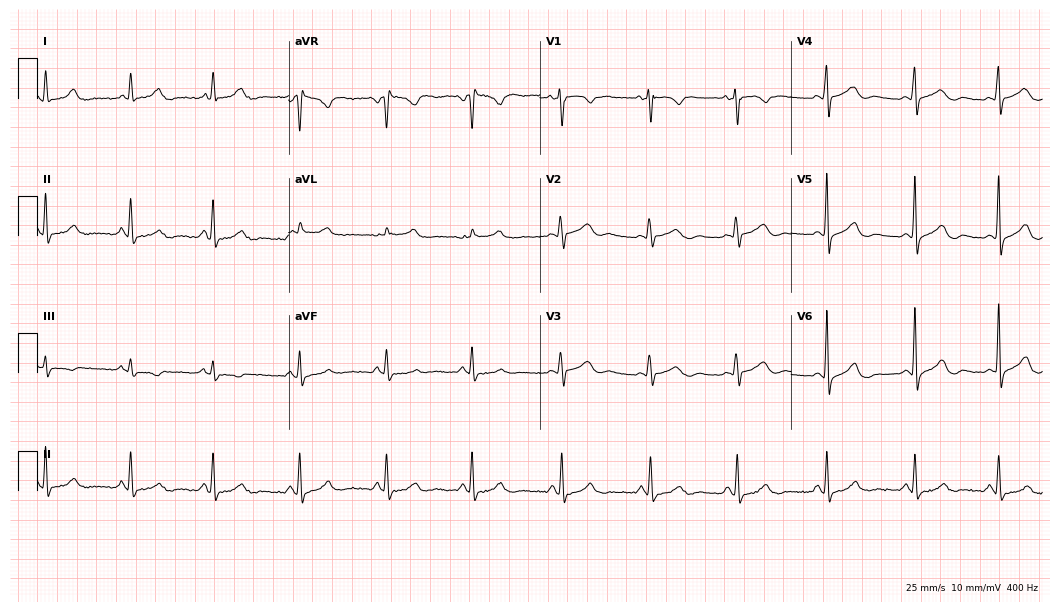
ECG — a 49-year-old woman. Labelled as a normal ECG.